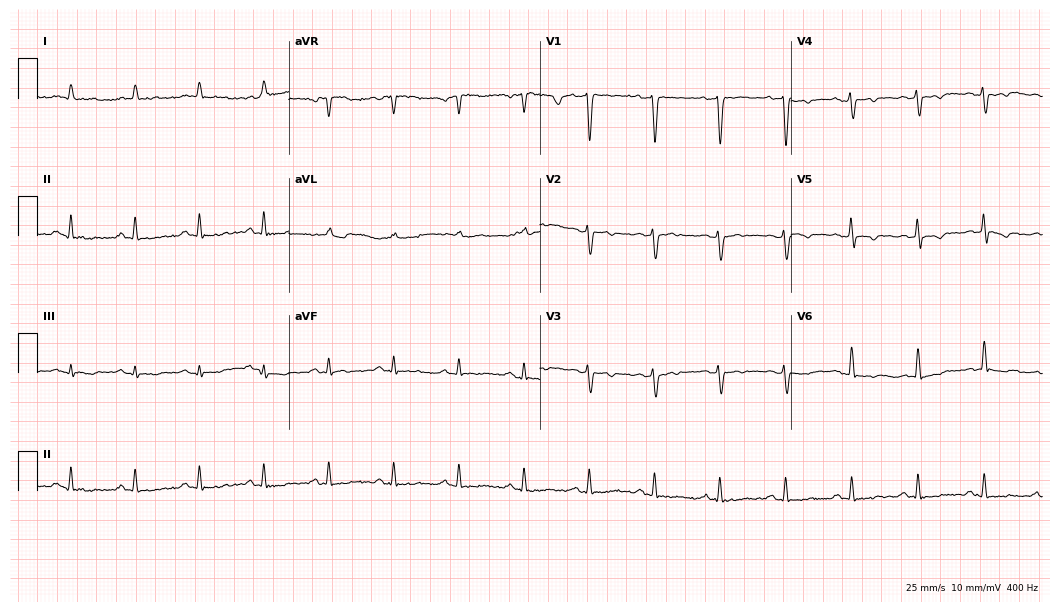
Electrocardiogram, a 44-year-old male. Of the six screened findings (first-degree AV block, right bundle branch block, left bundle branch block, sinus bradycardia, atrial fibrillation, sinus tachycardia), none is recorded.